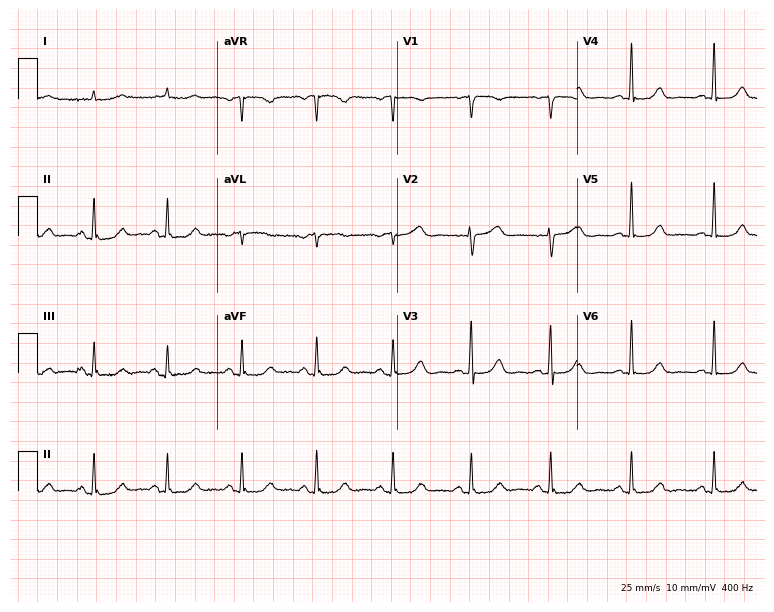
12-lead ECG from an 81-year-old female patient. Labelled as a normal ECG.